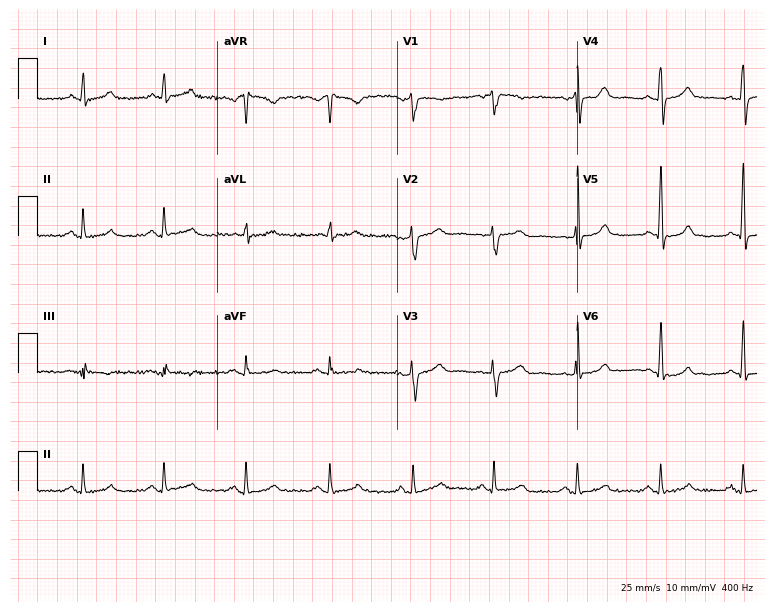
Electrocardiogram, a 69-year-old female. Overall reading on record: normal ECG.